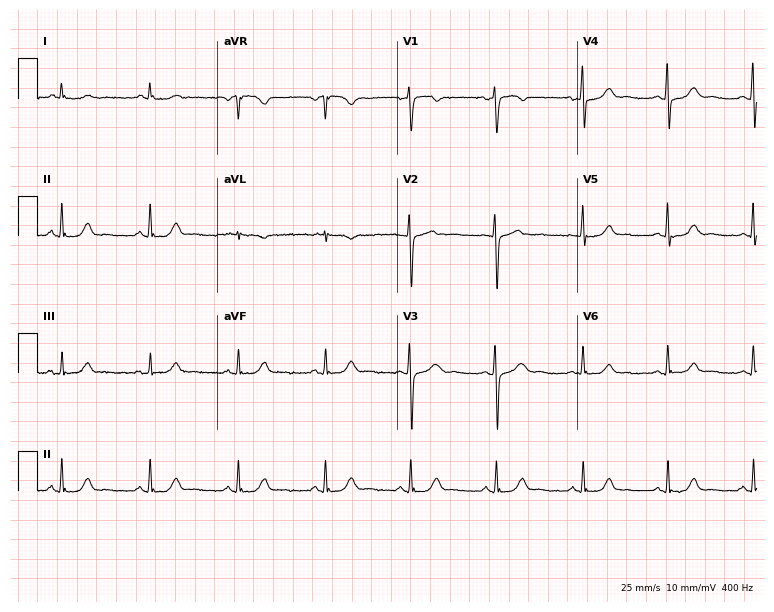
Electrocardiogram, a 59-year-old female. Overall reading on record: normal ECG.